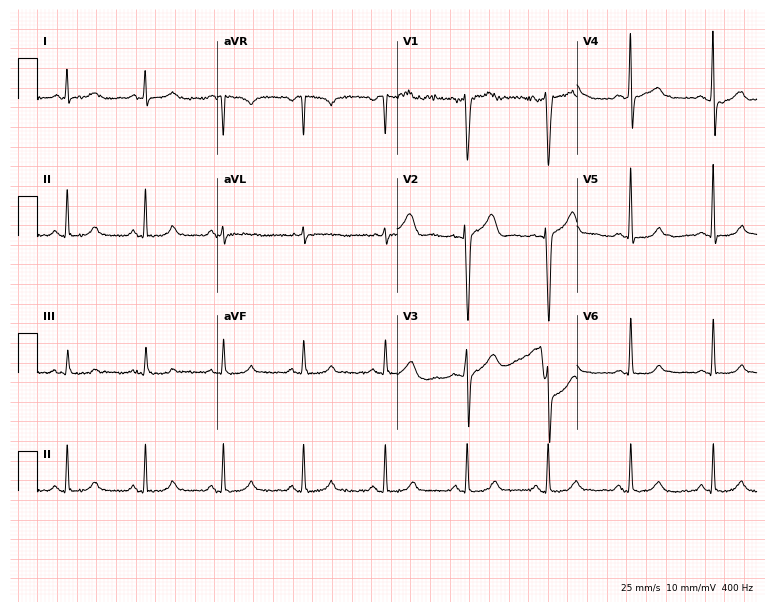
Electrocardiogram, a 38-year-old male patient. Of the six screened findings (first-degree AV block, right bundle branch block (RBBB), left bundle branch block (LBBB), sinus bradycardia, atrial fibrillation (AF), sinus tachycardia), none is recorded. Other findings, if any, are not listed.